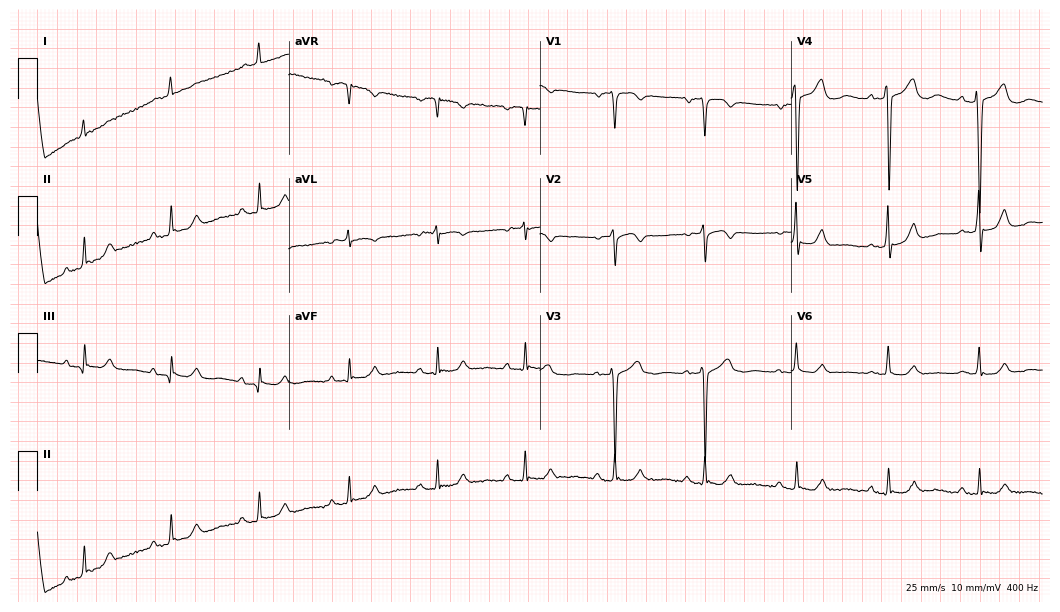
ECG — a male patient, 79 years old. Screened for six findings — first-degree AV block, right bundle branch block, left bundle branch block, sinus bradycardia, atrial fibrillation, sinus tachycardia — none is recorded. Other findings, if any, are not listed.